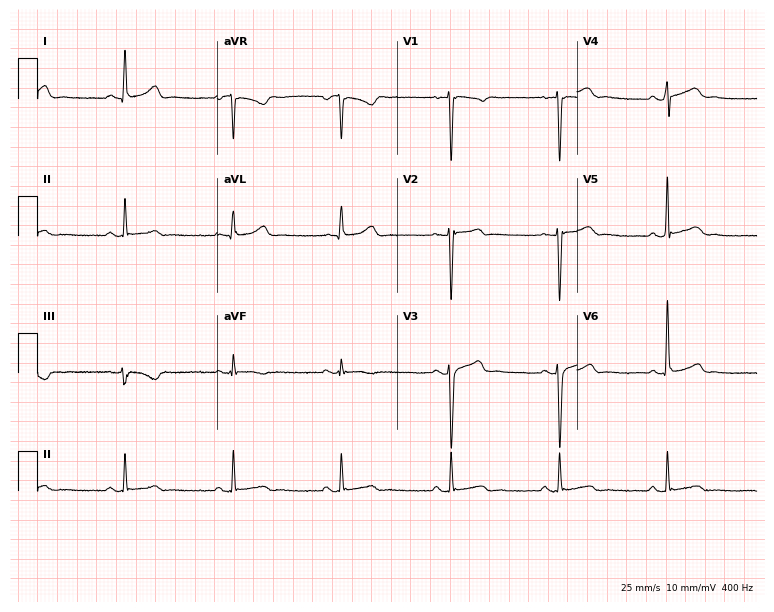
12-lead ECG from a male patient, 30 years old (7.3-second recording at 400 Hz). No first-degree AV block, right bundle branch block, left bundle branch block, sinus bradycardia, atrial fibrillation or sinus tachycardia recorded for this tracing. Findings outside these six are not listed.